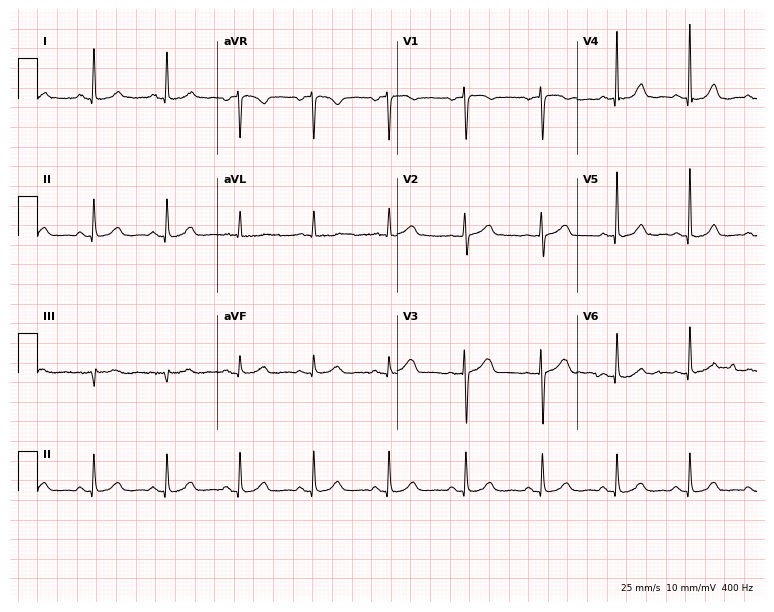
Standard 12-lead ECG recorded from a woman, 72 years old (7.3-second recording at 400 Hz). Read as a normal ECG.